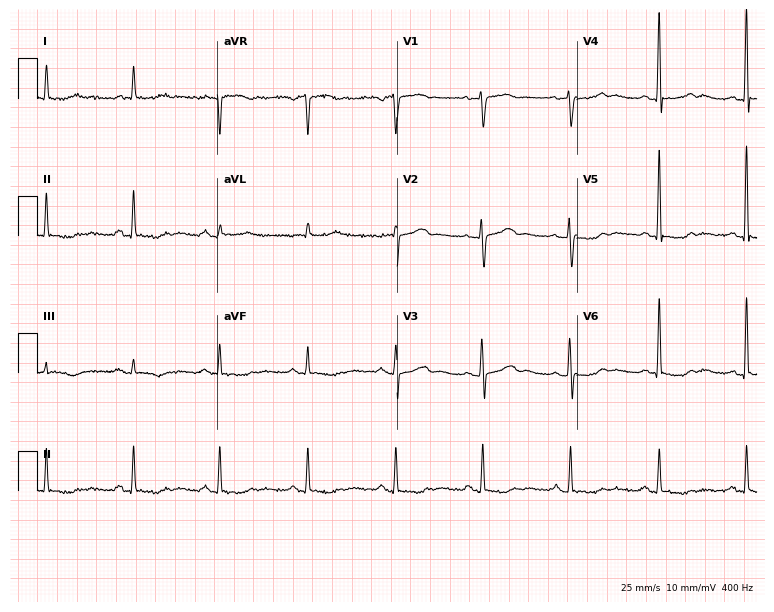
Electrocardiogram (7.3-second recording at 400 Hz), a woman, 67 years old. Overall reading on record: normal ECG.